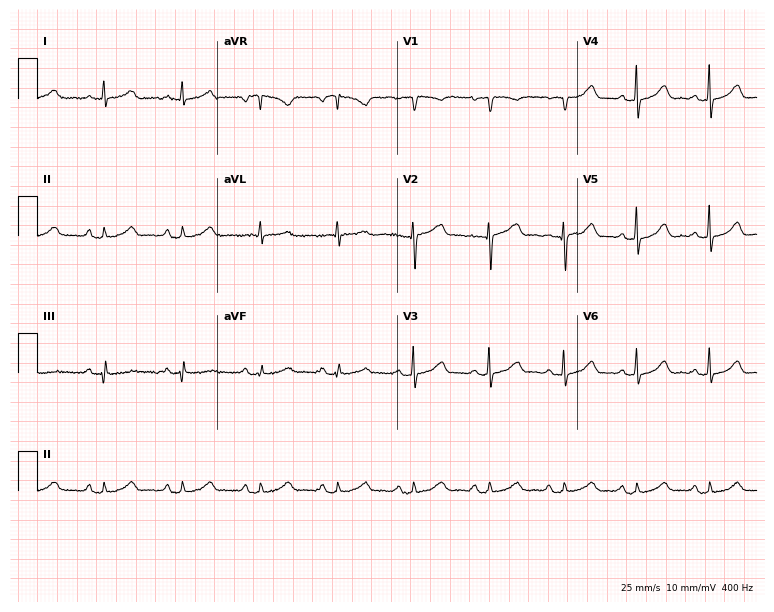
ECG (7.3-second recording at 400 Hz) — a female, 56 years old. Screened for six findings — first-degree AV block, right bundle branch block, left bundle branch block, sinus bradycardia, atrial fibrillation, sinus tachycardia — none is recorded.